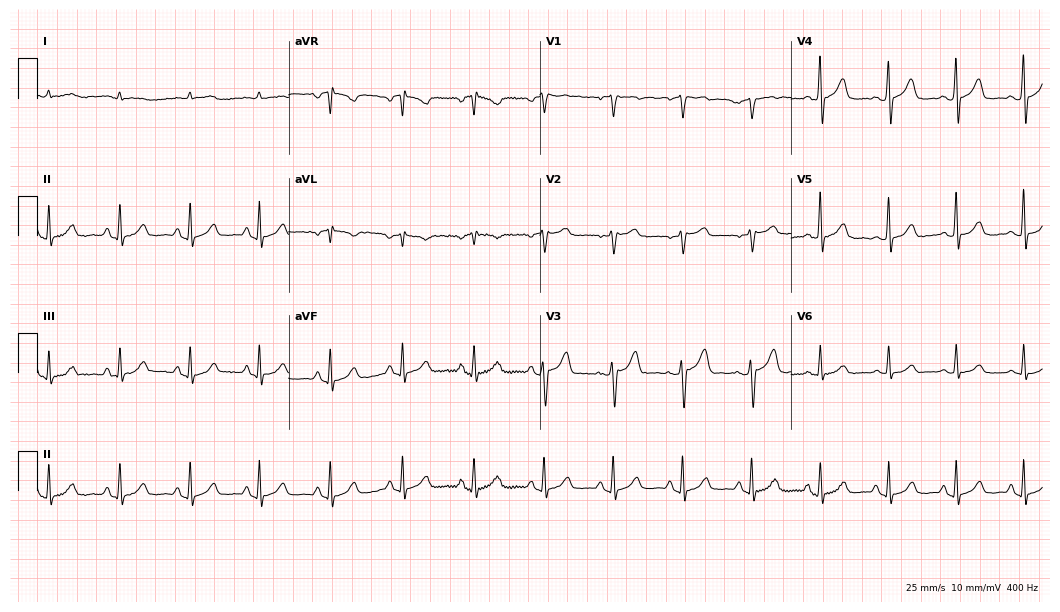
Standard 12-lead ECG recorded from a male patient, 79 years old. Read as a normal ECG.